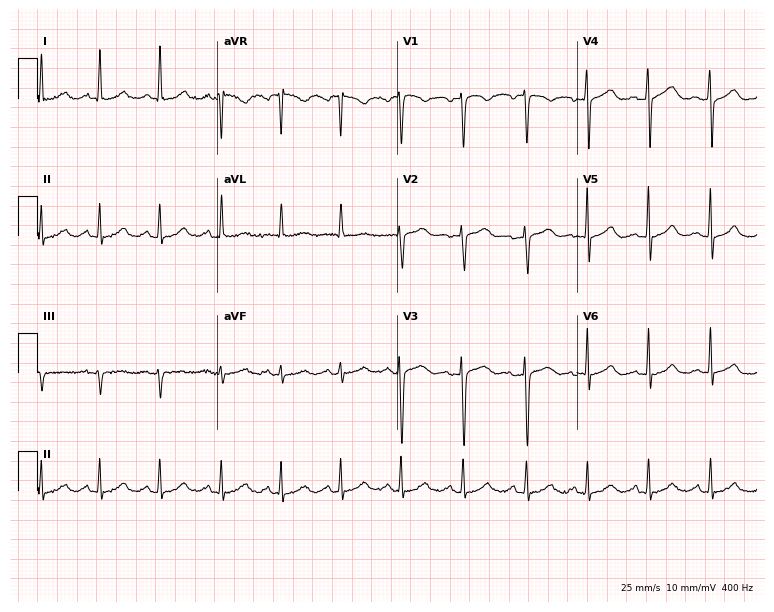
12-lead ECG from a 43-year-old female patient. Recorded interpretation: within normal limits.